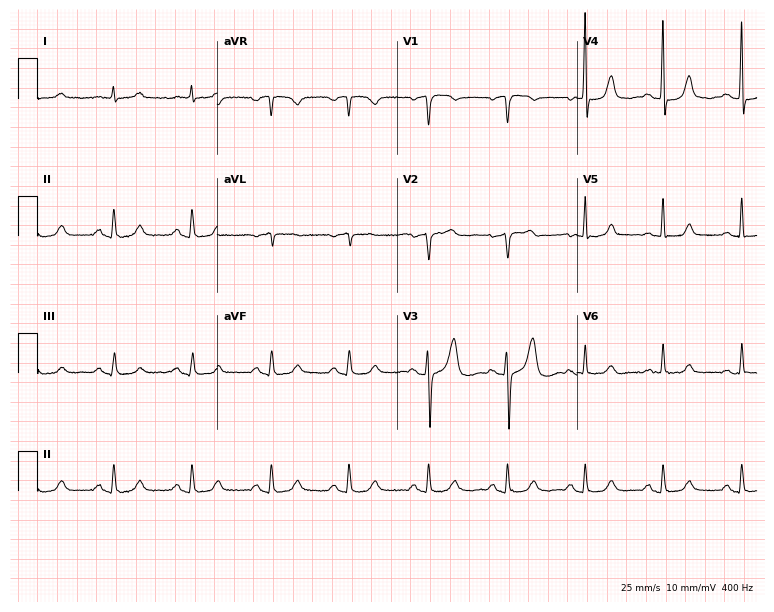
Electrocardiogram (7.3-second recording at 400 Hz), a female patient, 58 years old. Of the six screened findings (first-degree AV block, right bundle branch block, left bundle branch block, sinus bradycardia, atrial fibrillation, sinus tachycardia), none is recorded.